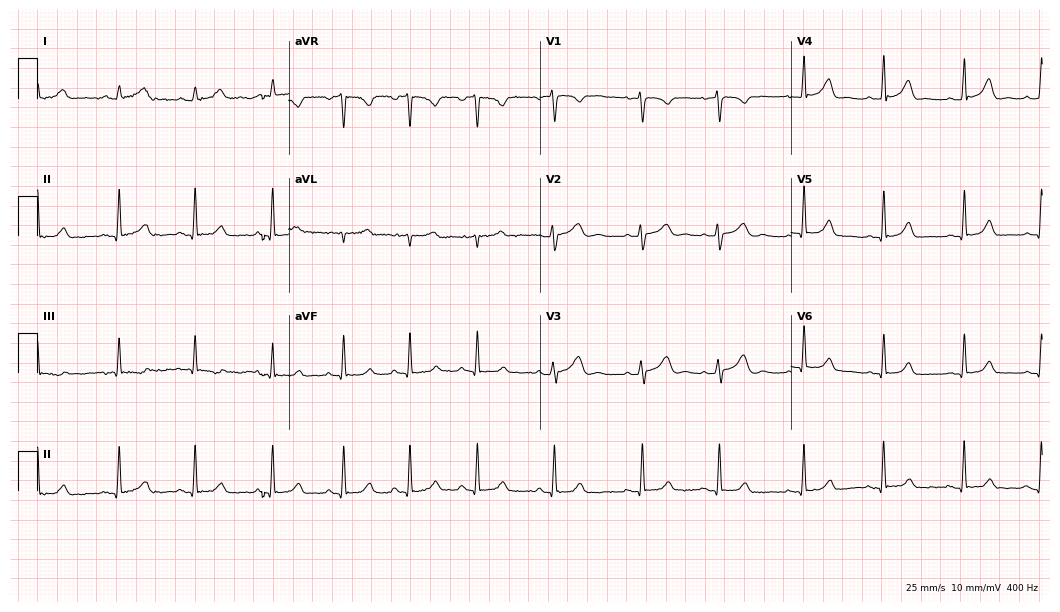
Standard 12-lead ECG recorded from a 20-year-old woman. None of these six findings is recorded: first-degree AV block, right bundle branch block, left bundle branch block, sinus bradycardia, atrial fibrillation, sinus tachycardia.